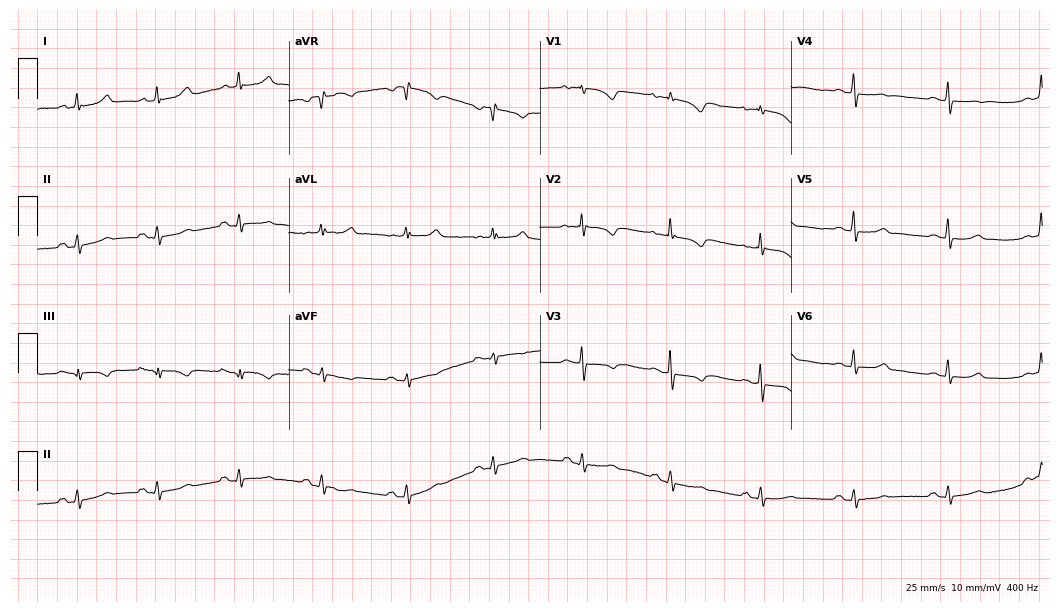
Electrocardiogram (10.2-second recording at 400 Hz), a female, 56 years old. Of the six screened findings (first-degree AV block, right bundle branch block, left bundle branch block, sinus bradycardia, atrial fibrillation, sinus tachycardia), none is recorded.